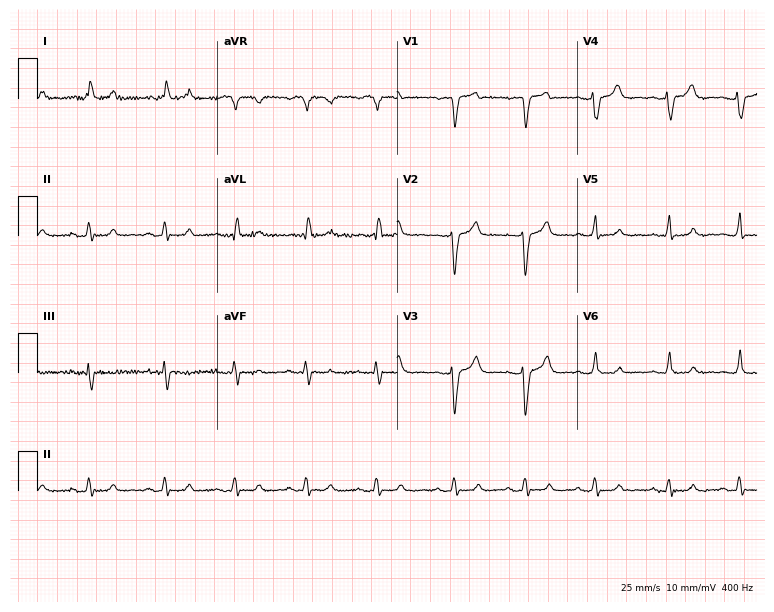
Electrocardiogram (7.3-second recording at 400 Hz), a 68-year-old female patient. Overall reading on record: normal ECG.